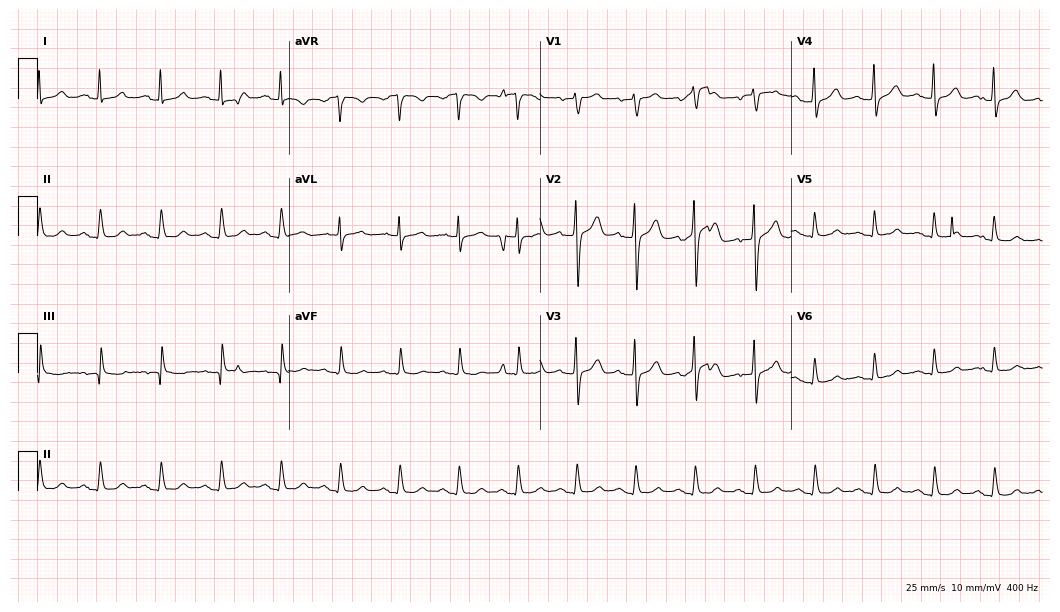
12-lead ECG from a male patient, 51 years old. Labelled as a normal ECG.